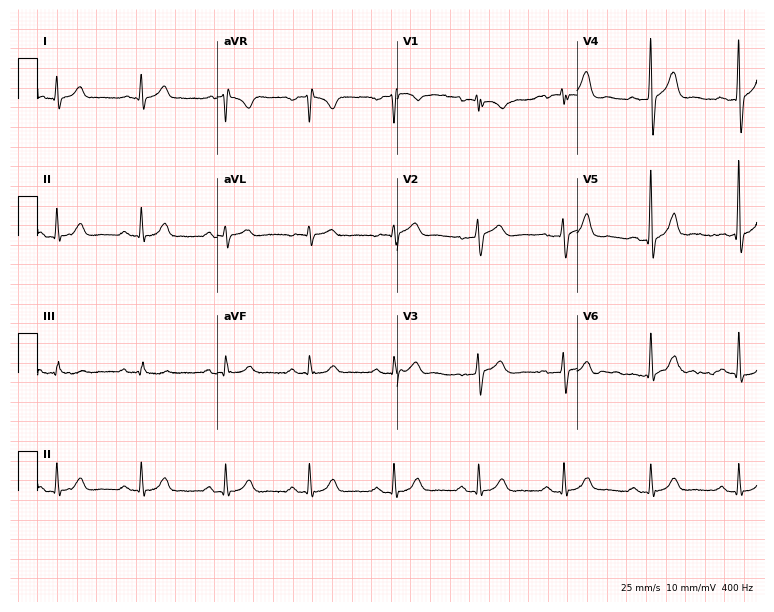
Standard 12-lead ECG recorded from a 71-year-old man (7.3-second recording at 400 Hz). Read as a normal ECG.